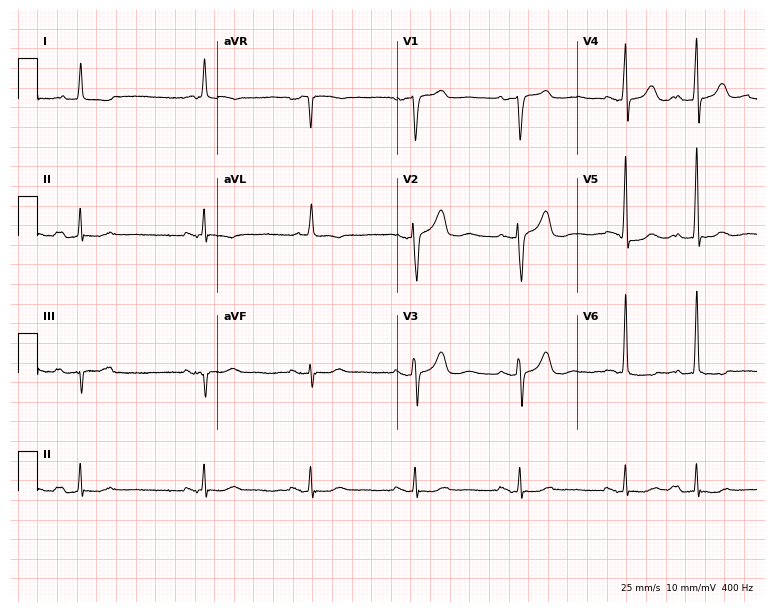
12-lead ECG from a male, 76 years old (7.3-second recording at 400 Hz). No first-degree AV block, right bundle branch block, left bundle branch block, sinus bradycardia, atrial fibrillation or sinus tachycardia recorded for this tracing. Other findings, if any, are not listed.